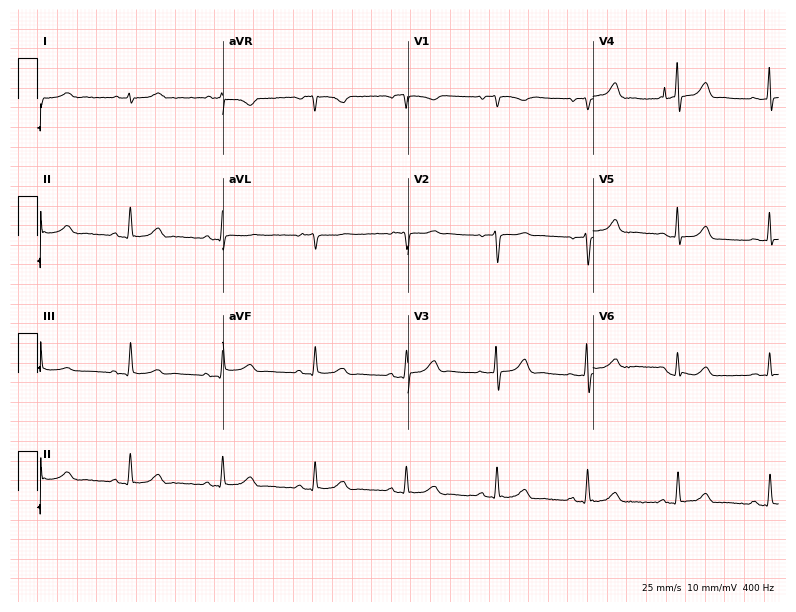
Resting 12-lead electrocardiogram. Patient: an 85-year-old man. None of these six findings is recorded: first-degree AV block, right bundle branch block (RBBB), left bundle branch block (LBBB), sinus bradycardia, atrial fibrillation (AF), sinus tachycardia.